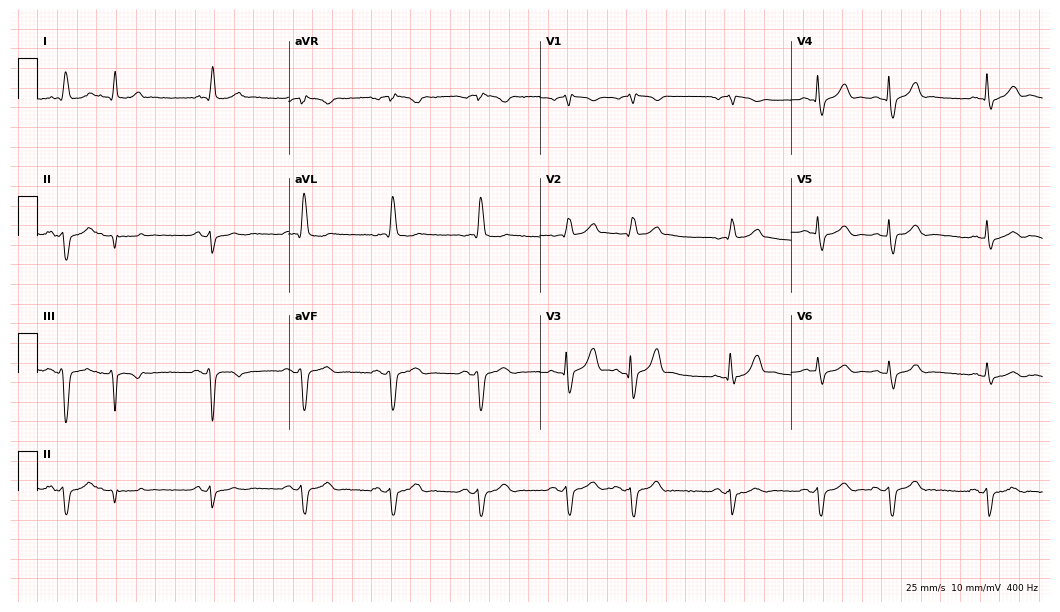
Standard 12-lead ECG recorded from an 85-year-old male (10.2-second recording at 400 Hz). None of these six findings is recorded: first-degree AV block, right bundle branch block, left bundle branch block, sinus bradycardia, atrial fibrillation, sinus tachycardia.